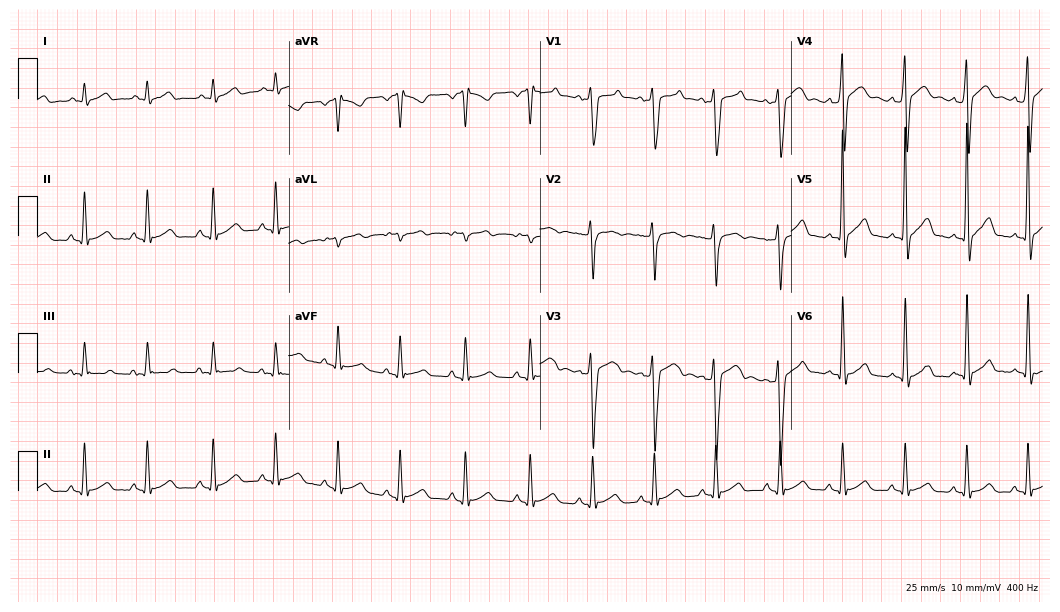
12-lead ECG from a 24-year-old male. Recorded interpretation: within normal limits.